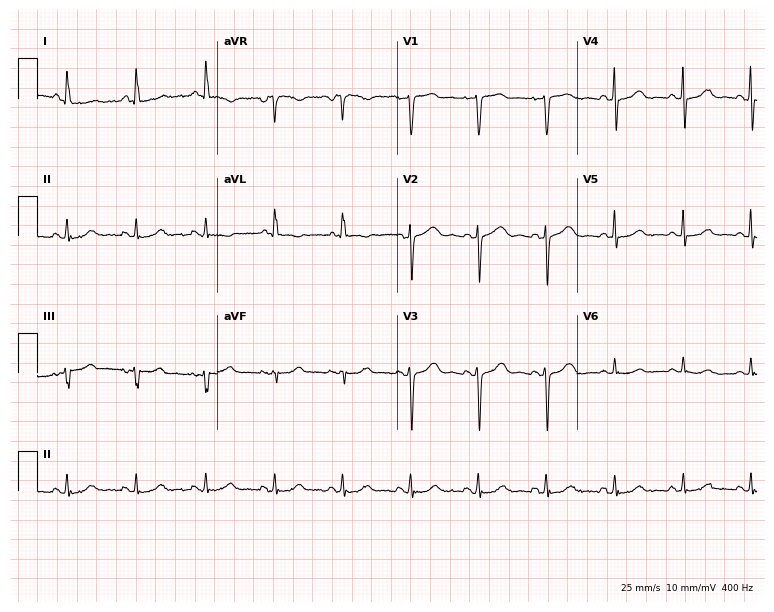
12-lead ECG from a 39-year-old female patient (7.3-second recording at 400 Hz). Recorded interpretation: within normal limits.